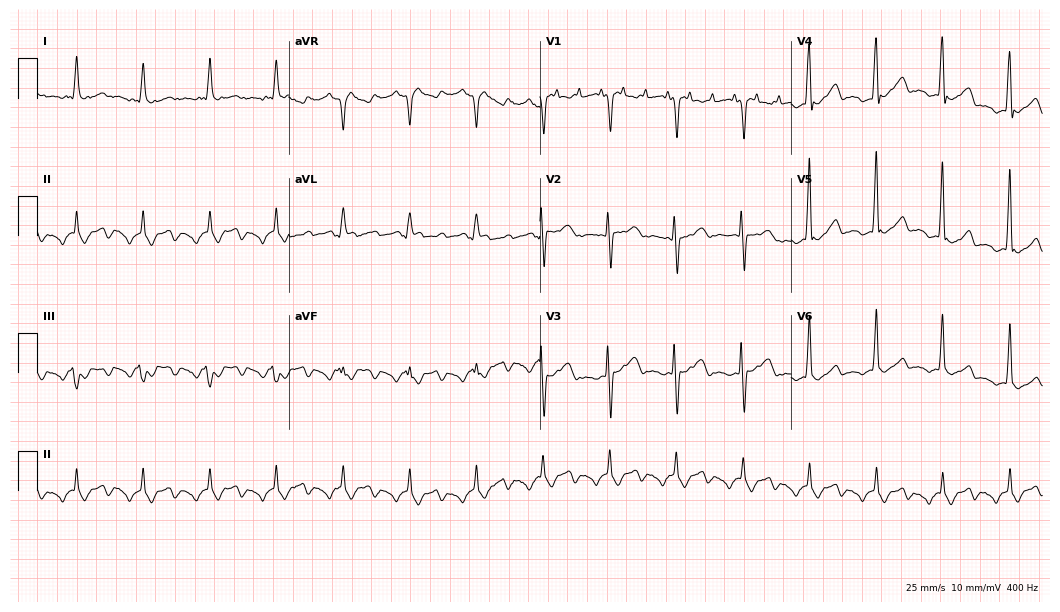
12-lead ECG from a 45-year-old male. Screened for six findings — first-degree AV block, right bundle branch block, left bundle branch block, sinus bradycardia, atrial fibrillation, sinus tachycardia — none is recorded.